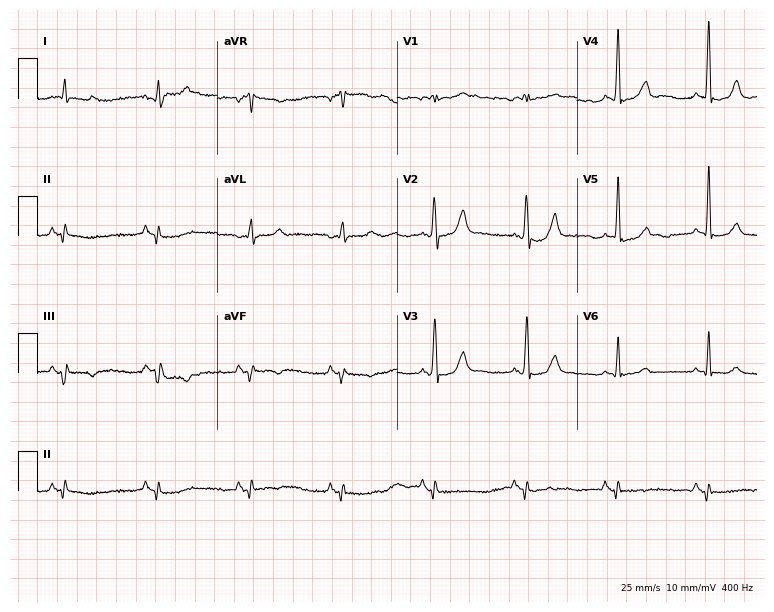
12-lead ECG from a male, 63 years old. No first-degree AV block, right bundle branch block (RBBB), left bundle branch block (LBBB), sinus bradycardia, atrial fibrillation (AF) or sinus tachycardia recorded for this tracing.